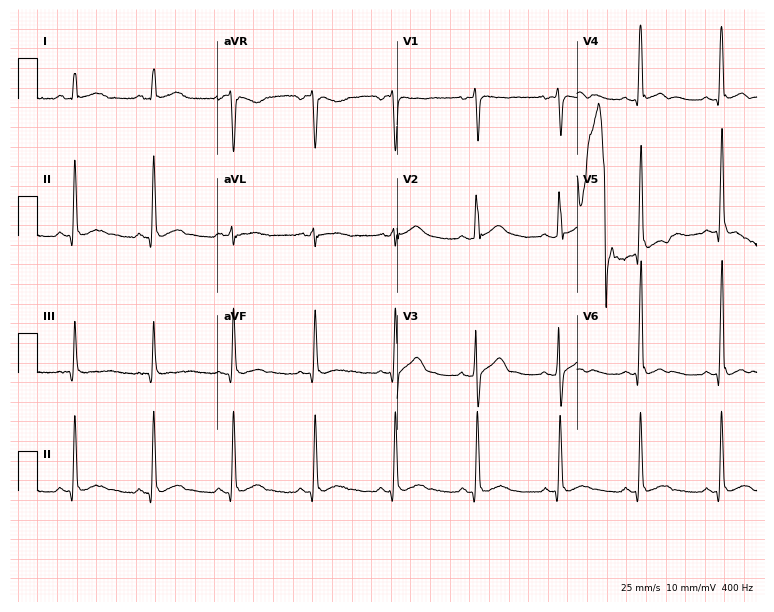
Standard 12-lead ECG recorded from a 25-year-old male patient. None of these six findings is recorded: first-degree AV block, right bundle branch block, left bundle branch block, sinus bradycardia, atrial fibrillation, sinus tachycardia. Findings outside these six are not listed.